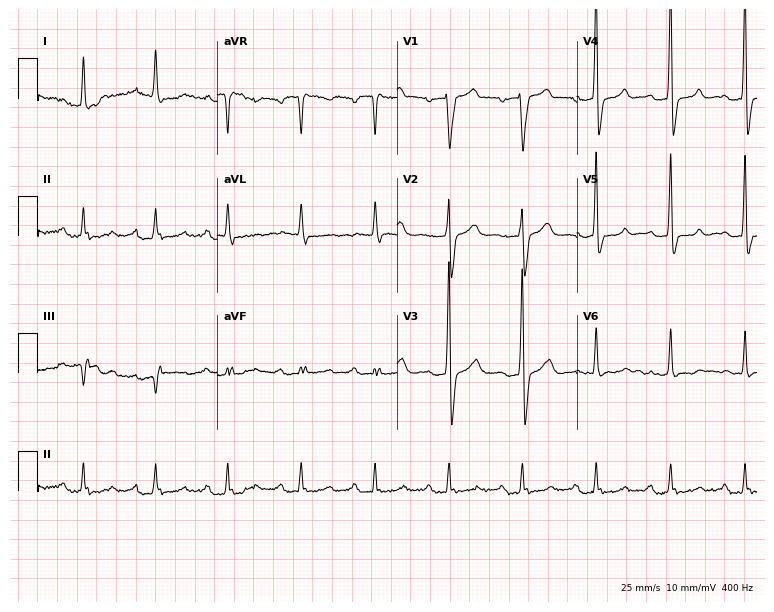
Resting 12-lead electrocardiogram (7.3-second recording at 400 Hz). Patient: a 77-year-old man. None of these six findings is recorded: first-degree AV block, right bundle branch block, left bundle branch block, sinus bradycardia, atrial fibrillation, sinus tachycardia. Other findings, if any, are not listed.